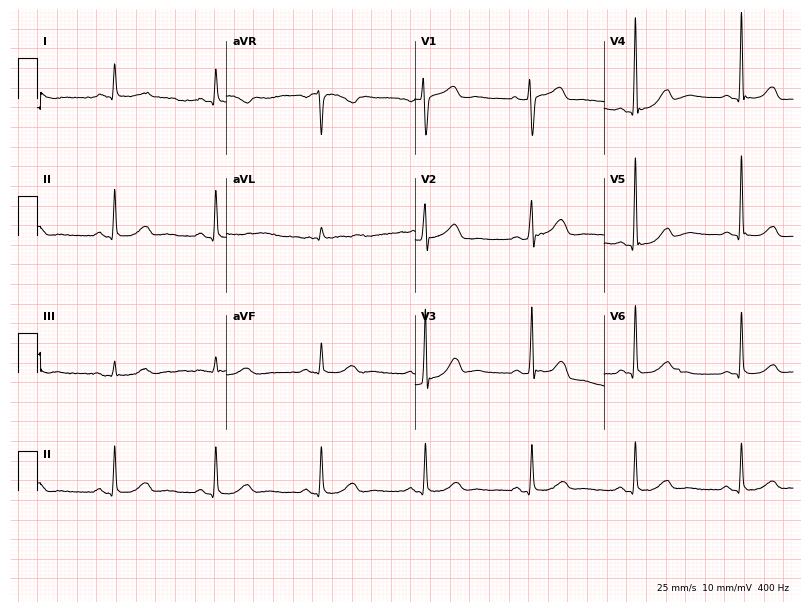
Resting 12-lead electrocardiogram (7.7-second recording at 400 Hz). Patient: a 62-year-old woman. None of these six findings is recorded: first-degree AV block, right bundle branch block, left bundle branch block, sinus bradycardia, atrial fibrillation, sinus tachycardia. Findings outside these six are not listed.